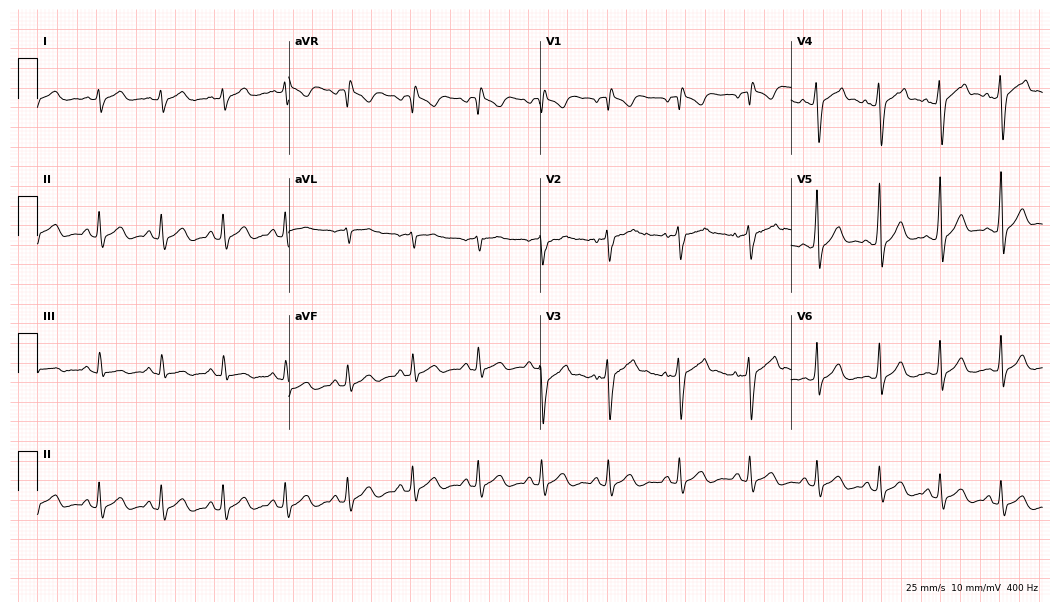
ECG — a male, 30 years old. Screened for six findings — first-degree AV block, right bundle branch block, left bundle branch block, sinus bradycardia, atrial fibrillation, sinus tachycardia — none is recorded.